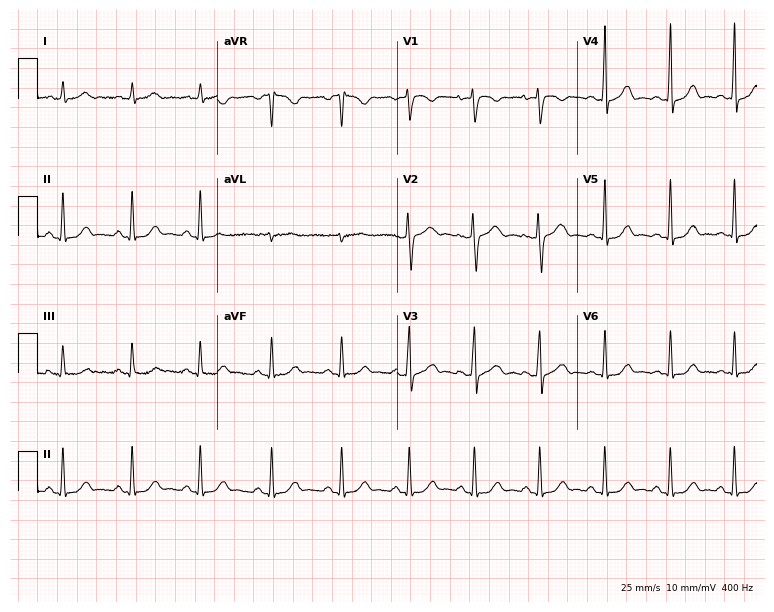
ECG — a 17-year-old female patient. Labelled as a normal ECG.